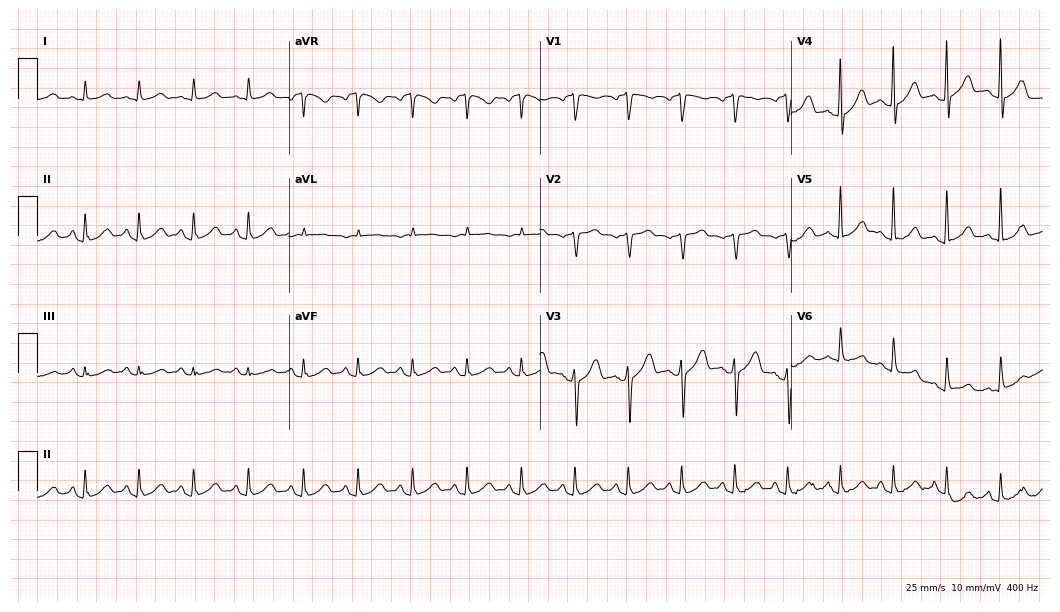
12-lead ECG from a 46-year-old man. Shows sinus tachycardia (a sinus rate of 100 beats per minute or more).